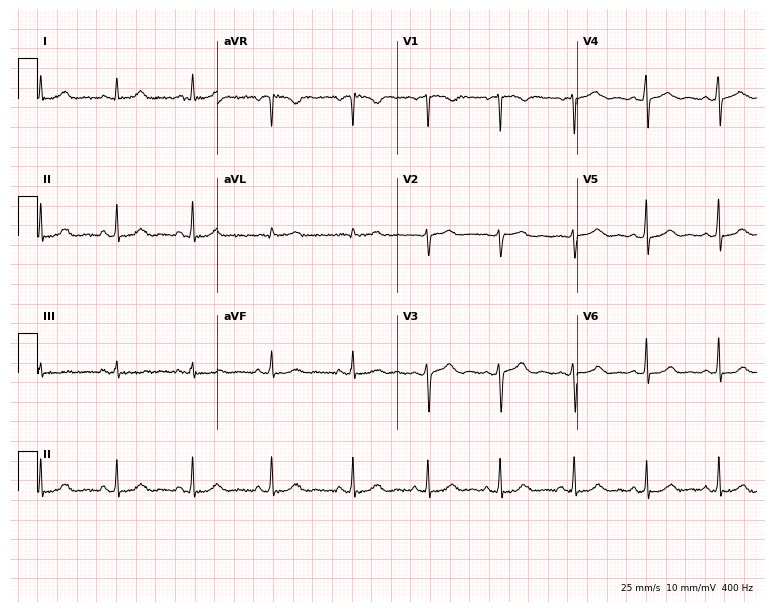
Electrocardiogram (7.3-second recording at 400 Hz), a 39-year-old woman. Overall reading on record: normal ECG.